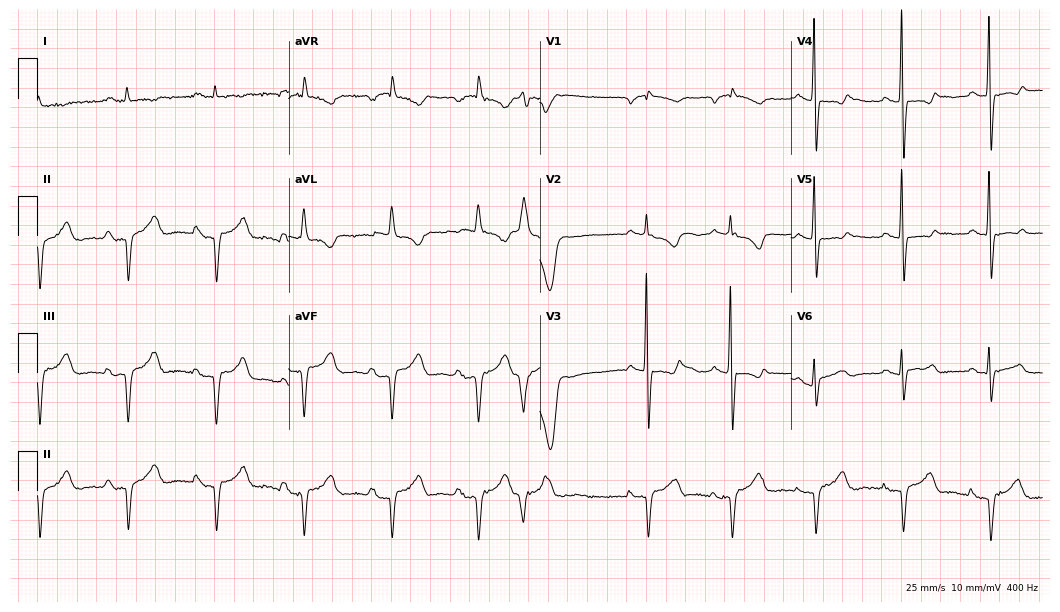
ECG (10.2-second recording at 400 Hz) — a 77-year-old male. Screened for six findings — first-degree AV block, right bundle branch block, left bundle branch block, sinus bradycardia, atrial fibrillation, sinus tachycardia — none is recorded. Other findings, if any, are not listed.